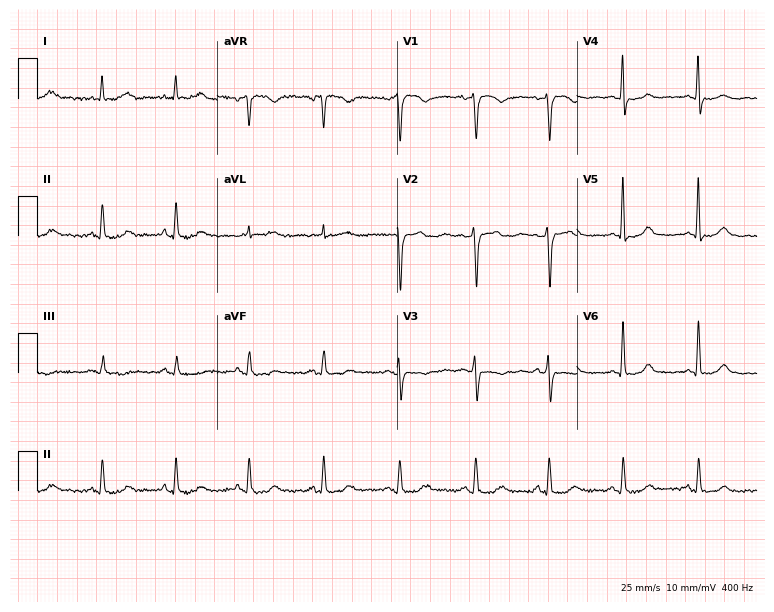
Resting 12-lead electrocardiogram (7.3-second recording at 400 Hz). Patient: a 64-year-old female. Read as a normal ECG.